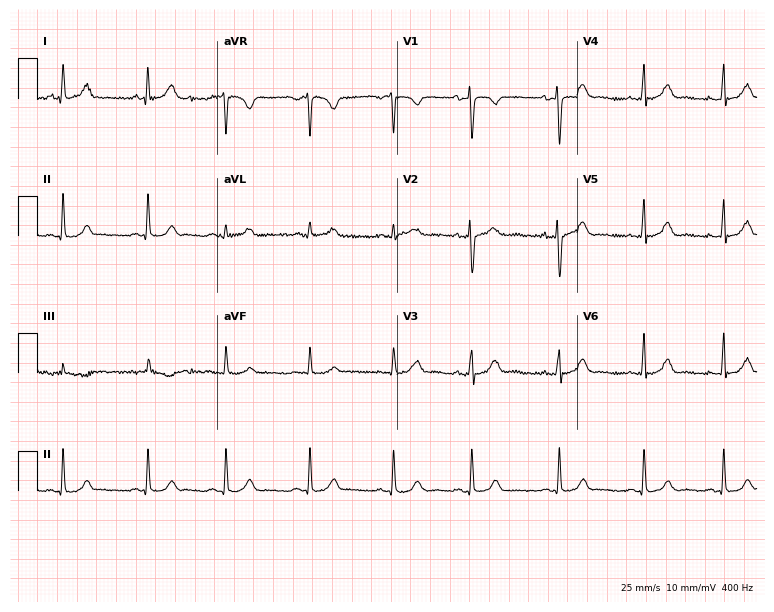
12-lead ECG from a 21-year-old female patient (7.3-second recording at 400 Hz). No first-degree AV block, right bundle branch block, left bundle branch block, sinus bradycardia, atrial fibrillation or sinus tachycardia recorded for this tracing.